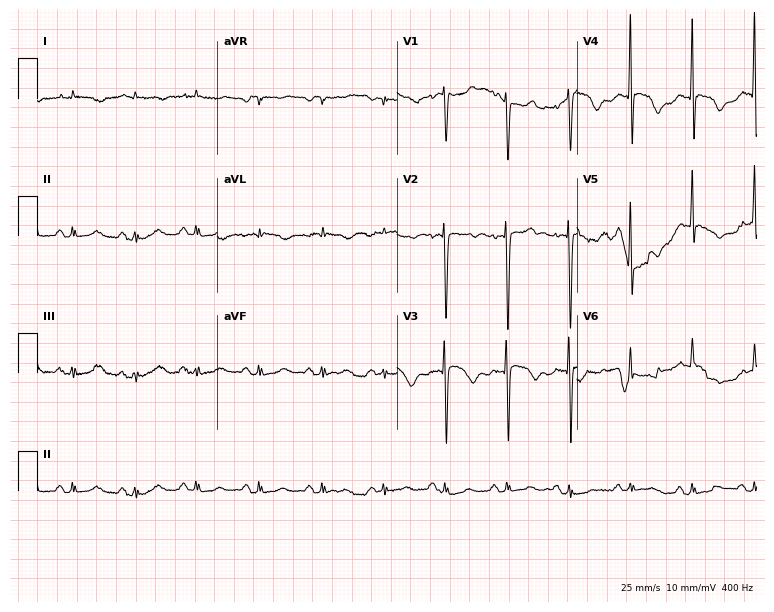
ECG — a female, 81 years old. Screened for six findings — first-degree AV block, right bundle branch block, left bundle branch block, sinus bradycardia, atrial fibrillation, sinus tachycardia — none is recorded.